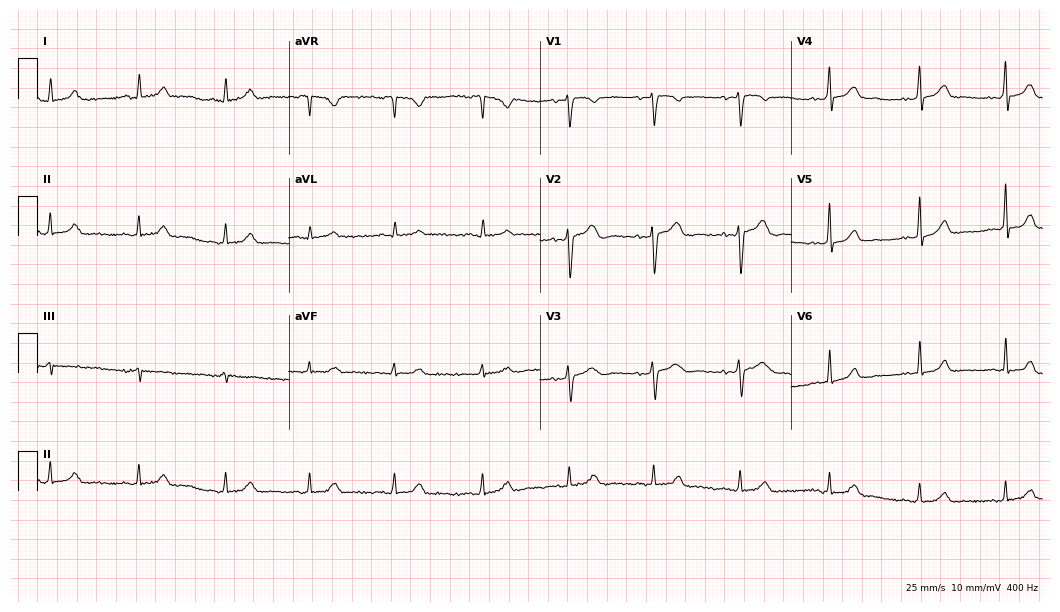
12-lead ECG (10.2-second recording at 400 Hz) from a 33-year-old female. Labelled as a normal ECG.